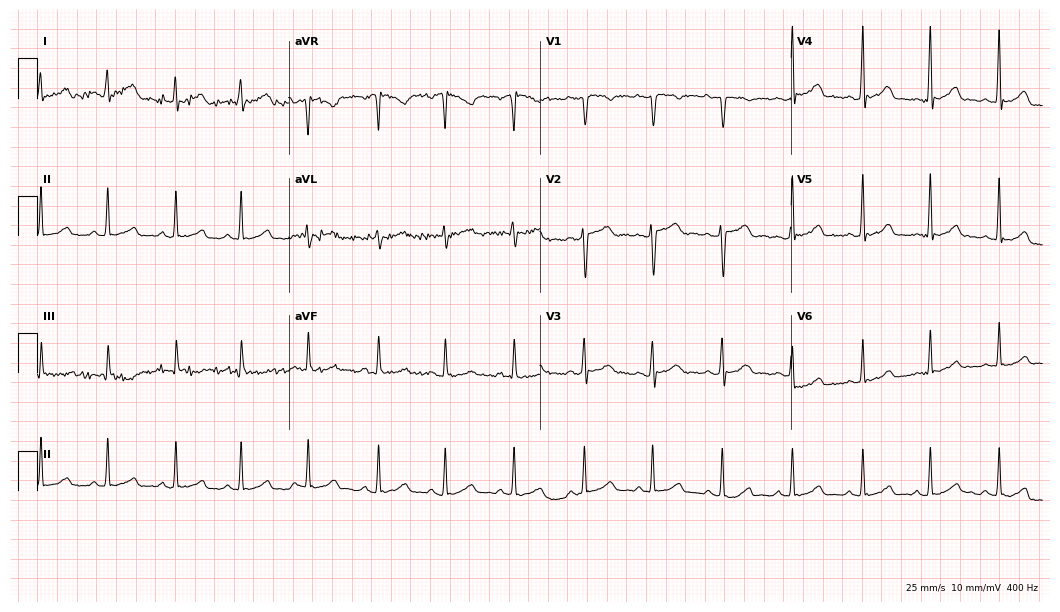
Resting 12-lead electrocardiogram (10.2-second recording at 400 Hz). Patient: a woman, 23 years old. Read as a normal ECG.